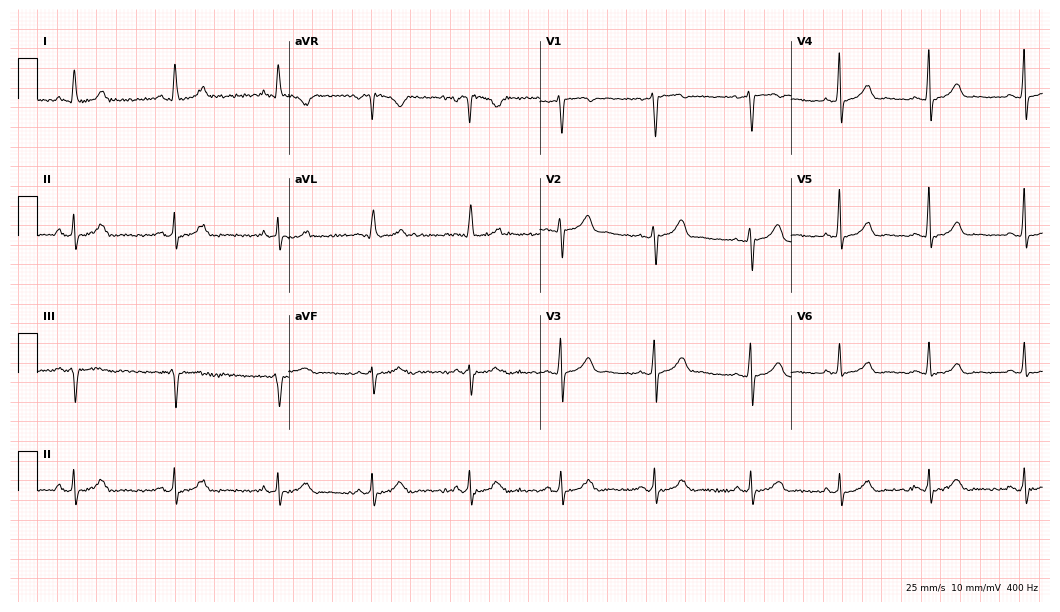
Resting 12-lead electrocardiogram (10.2-second recording at 400 Hz). Patient: a 47-year-old female. Read as a normal ECG.